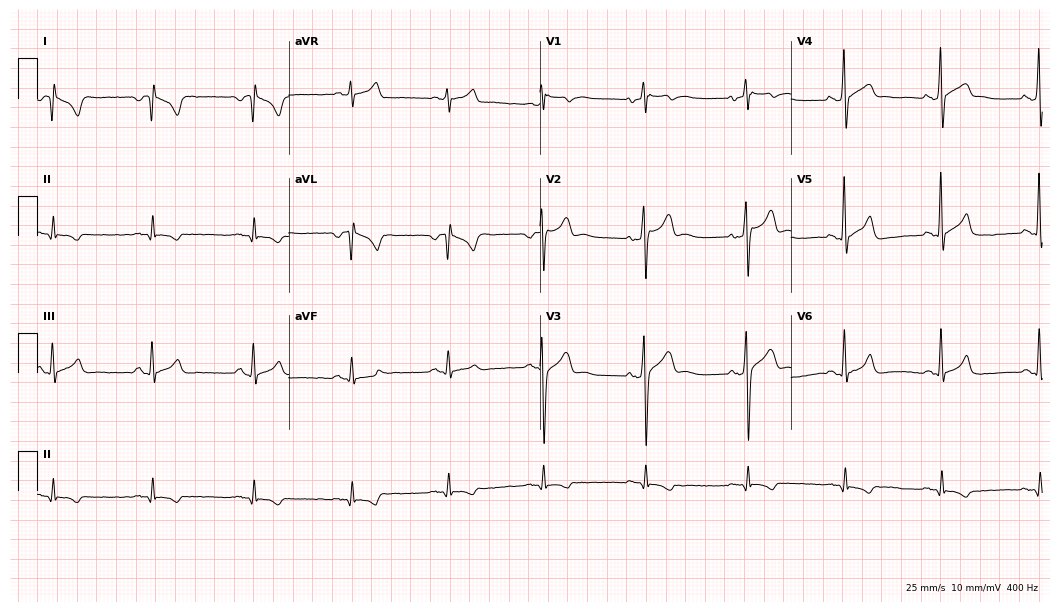
Standard 12-lead ECG recorded from a male patient, 36 years old (10.2-second recording at 400 Hz). None of these six findings is recorded: first-degree AV block, right bundle branch block (RBBB), left bundle branch block (LBBB), sinus bradycardia, atrial fibrillation (AF), sinus tachycardia.